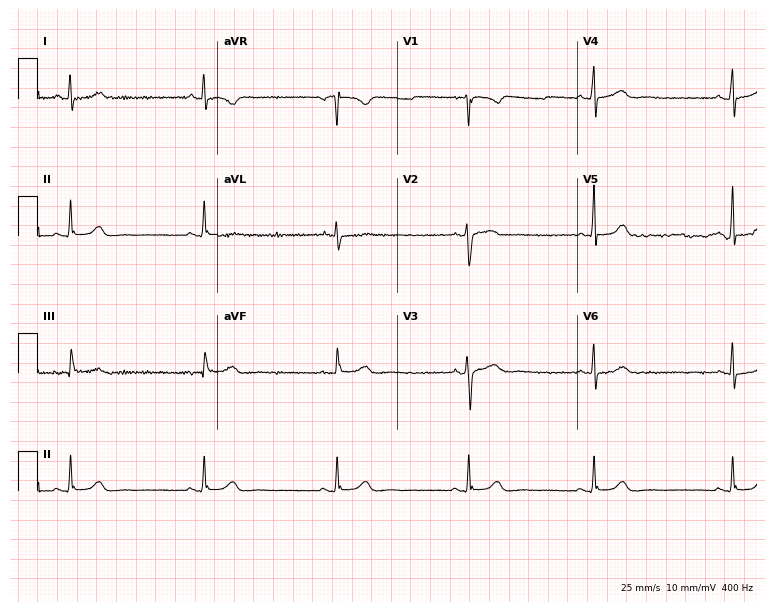
12-lead ECG (7.3-second recording at 400 Hz) from a female patient, 26 years old. Findings include sinus bradycardia (a sinus rate of 50 beats per minute or less).